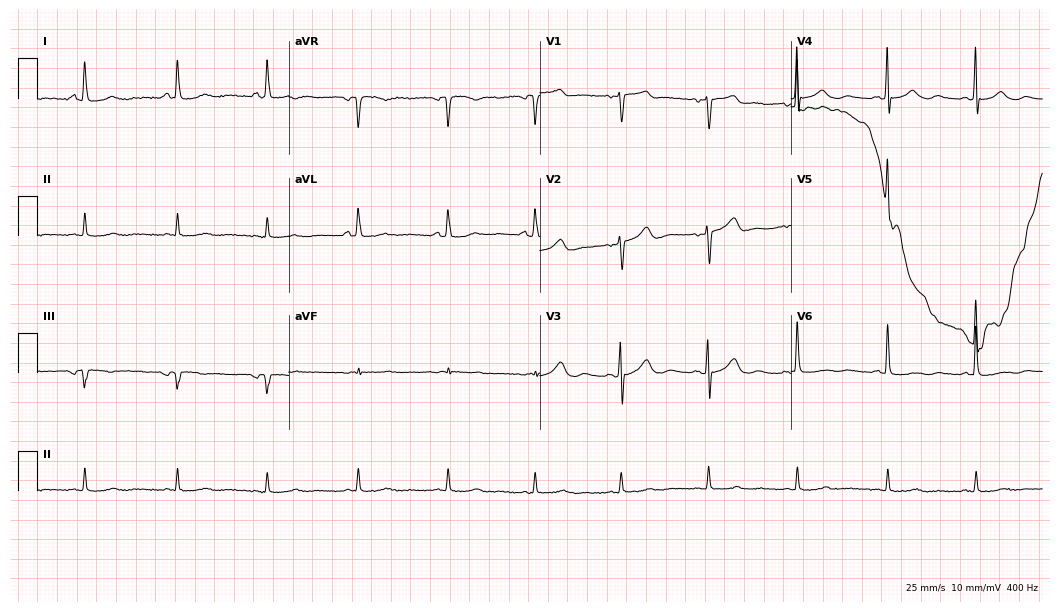
12-lead ECG from a woman, 74 years old. No first-degree AV block, right bundle branch block (RBBB), left bundle branch block (LBBB), sinus bradycardia, atrial fibrillation (AF) or sinus tachycardia recorded for this tracing. Findings outside these six are not listed.